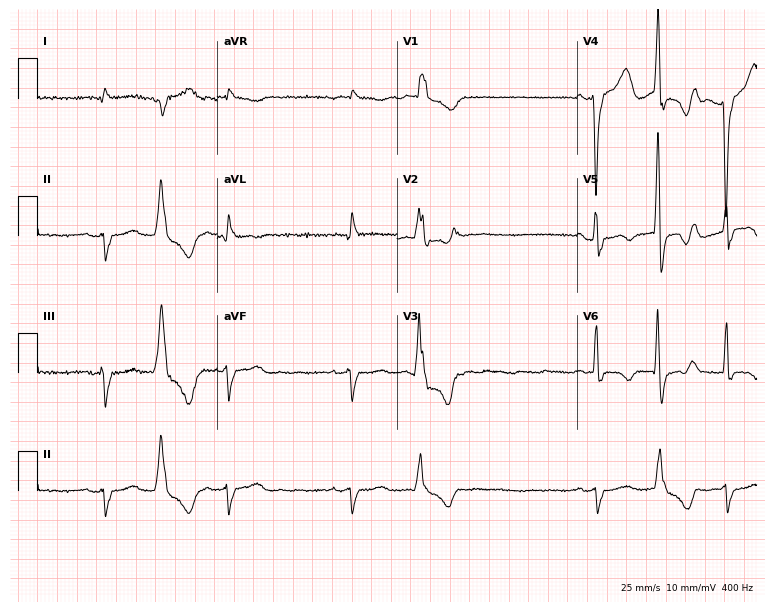
12-lead ECG from a man, 52 years old. Screened for six findings — first-degree AV block, right bundle branch block, left bundle branch block, sinus bradycardia, atrial fibrillation, sinus tachycardia — none is recorded. Findings outside these six are not listed.